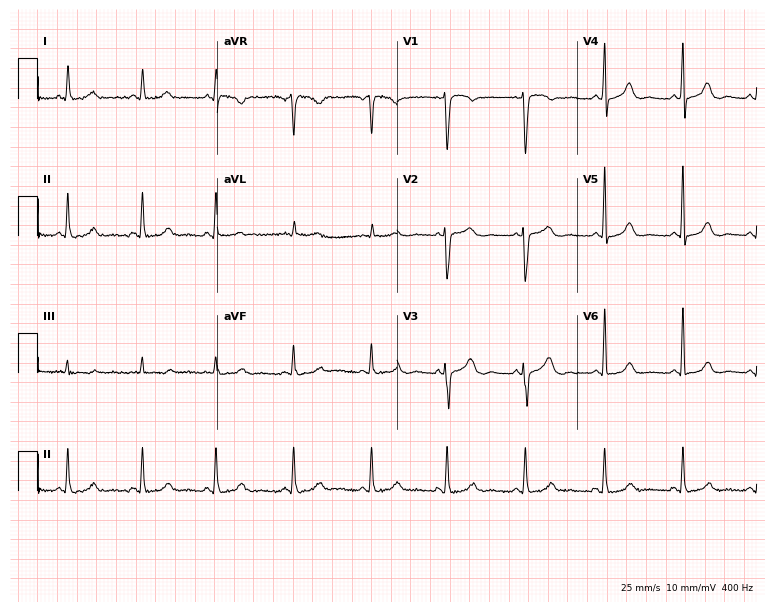
ECG — a 62-year-old female. Labelled as a normal ECG.